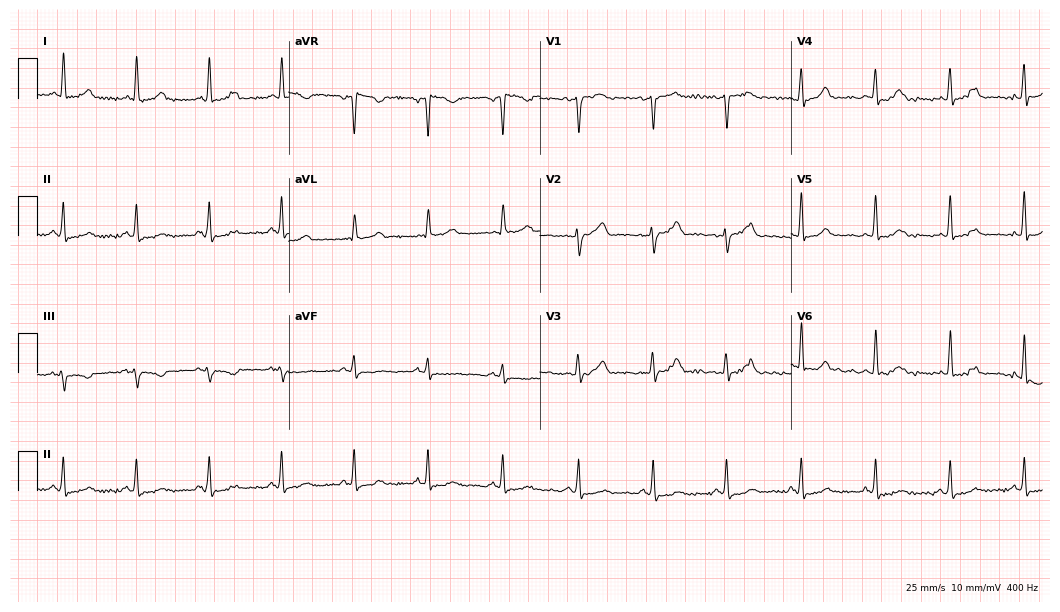
Electrocardiogram (10.2-second recording at 400 Hz), a 55-year-old female patient. Of the six screened findings (first-degree AV block, right bundle branch block, left bundle branch block, sinus bradycardia, atrial fibrillation, sinus tachycardia), none is recorded.